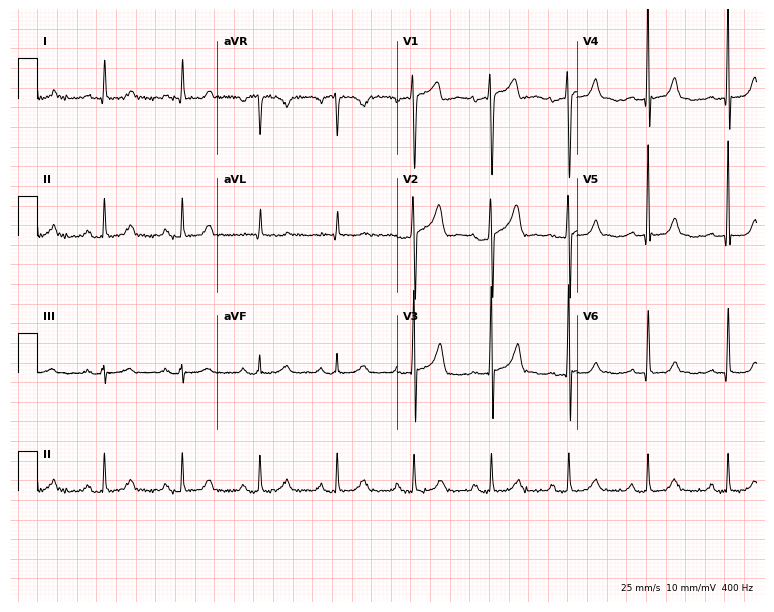
Standard 12-lead ECG recorded from a 58-year-old male patient (7.3-second recording at 400 Hz). None of these six findings is recorded: first-degree AV block, right bundle branch block (RBBB), left bundle branch block (LBBB), sinus bradycardia, atrial fibrillation (AF), sinus tachycardia. Findings outside these six are not listed.